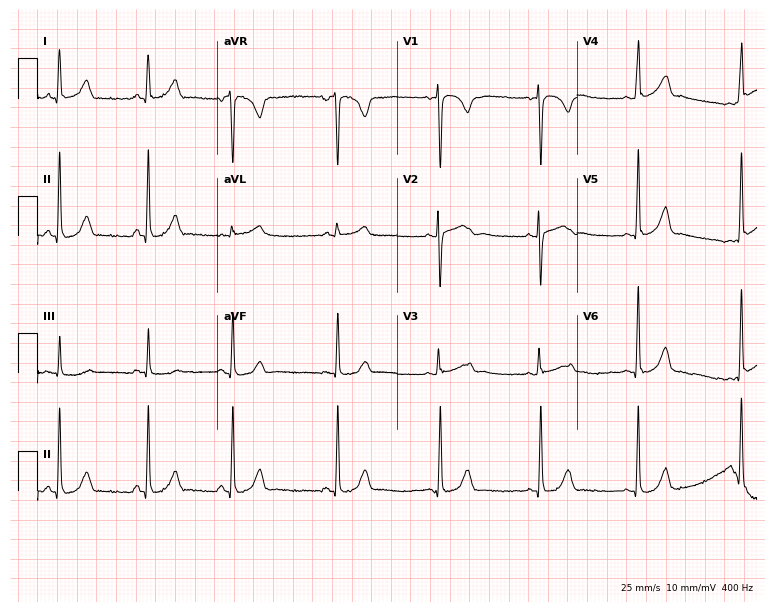
Standard 12-lead ECG recorded from a 24-year-old female patient (7.3-second recording at 400 Hz). Read as a normal ECG.